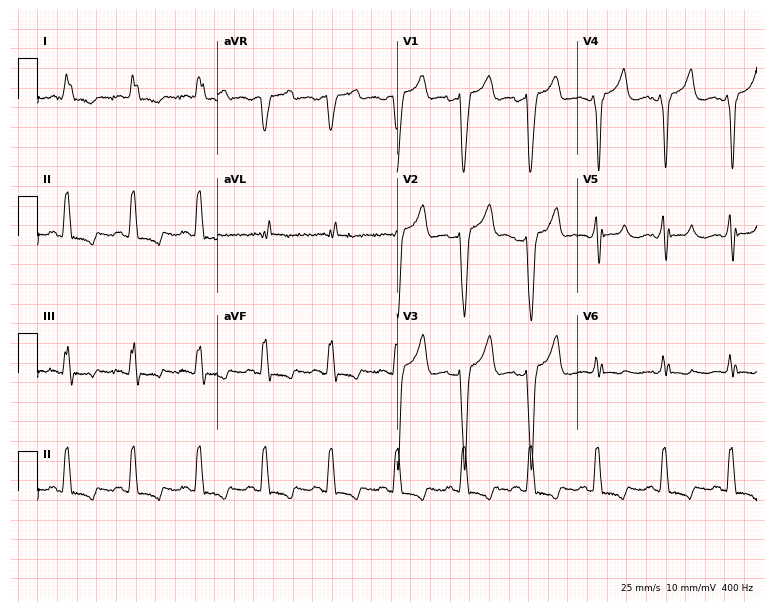
Resting 12-lead electrocardiogram. Patient: a male, 81 years old. The tracing shows left bundle branch block.